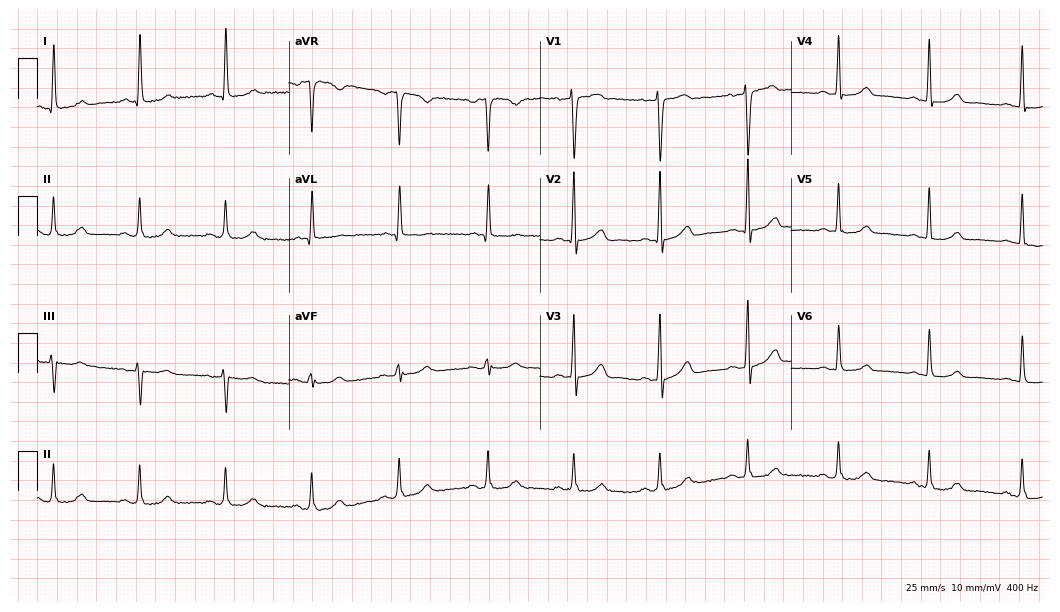
Standard 12-lead ECG recorded from a 62-year-old female patient (10.2-second recording at 400 Hz). None of these six findings is recorded: first-degree AV block, right bundle branch block, left bundle branch block, sinus bradycardia, atrial fibrillation, sinus tachycardia. Only these six findings were labelled.